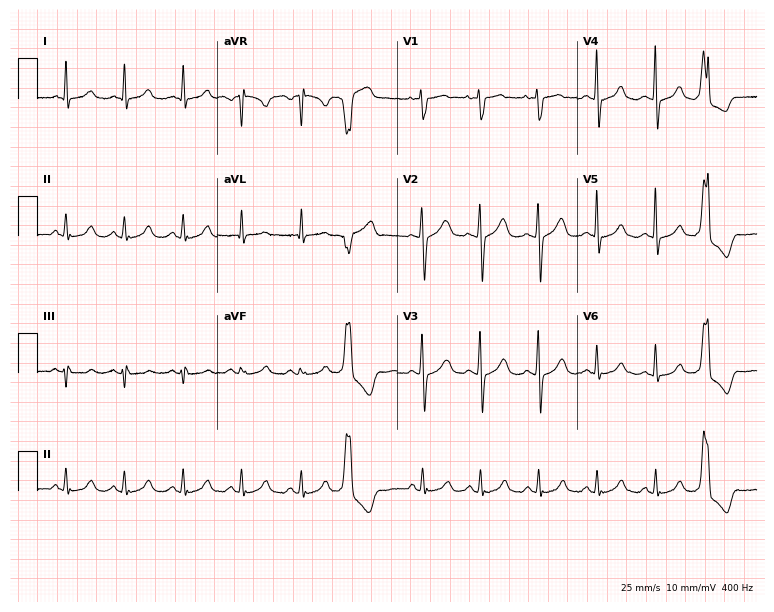
Electrocardiogram, a 58-year-old female patient. Interpretation includes sinus tachycardia (a sinus rate of 100 beats per minute or more).